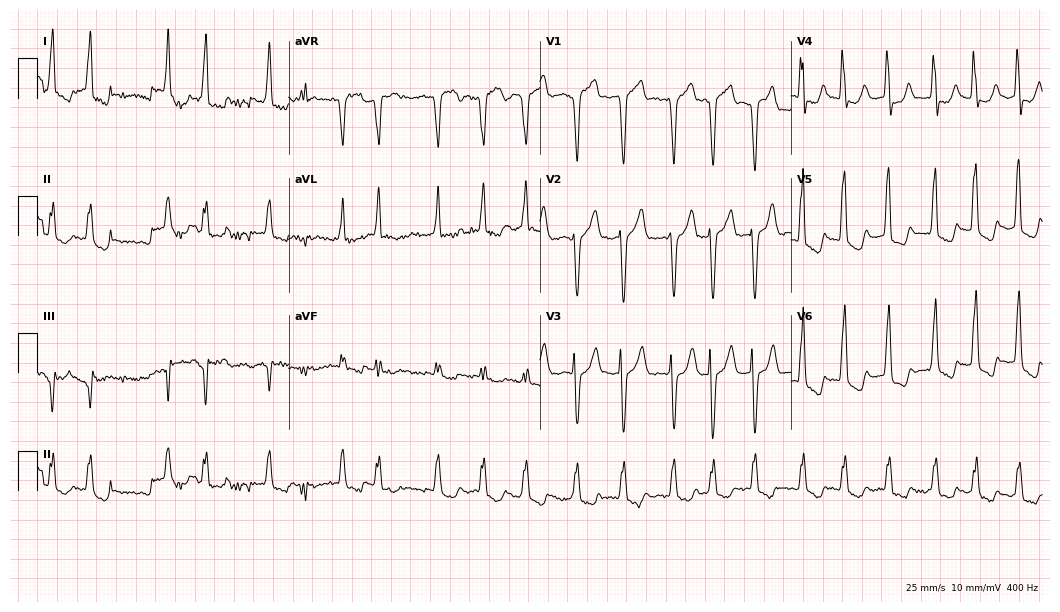
12-lead ECG from a female patient, 81 years old. Shows atrial fibrillation.